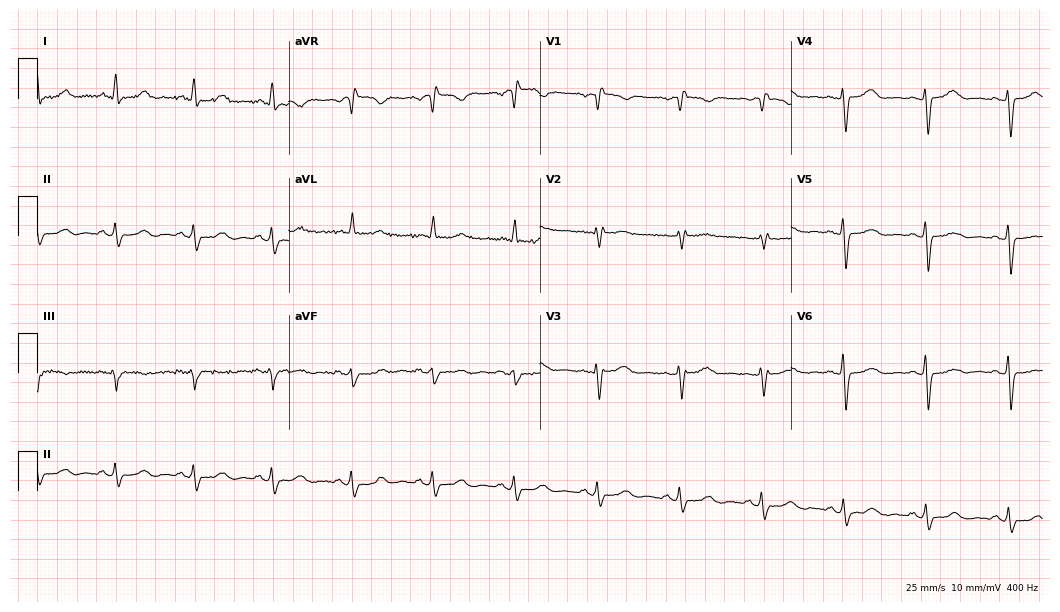
Standard 12-lead ECG recorded from a female, 44 years old. None of these six findings is recorded: first-degree AV block, right bundle branch block, left bundle branch block, sinus bradycardia, atrial fibrillation, sinus tachycardia.